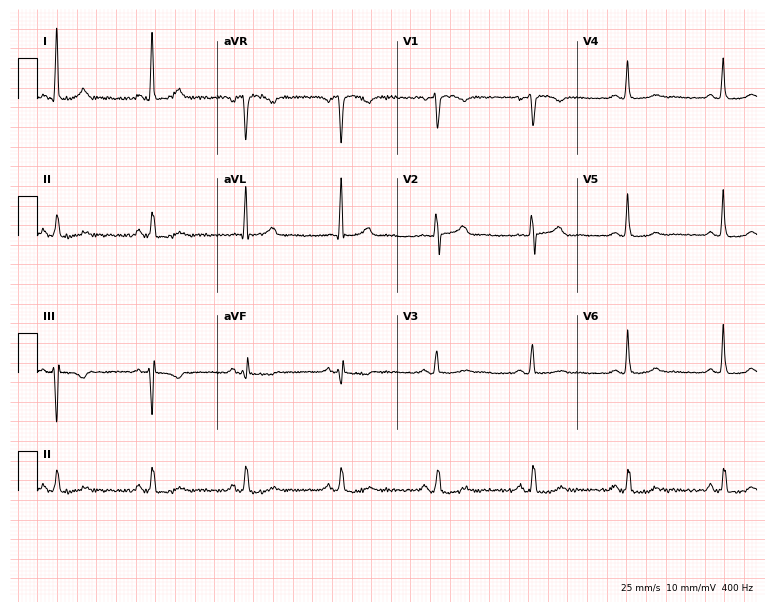
ECG (7.3-second recording at 400 Hz) — a 72-year-old female. Labelled as a normal ECG.